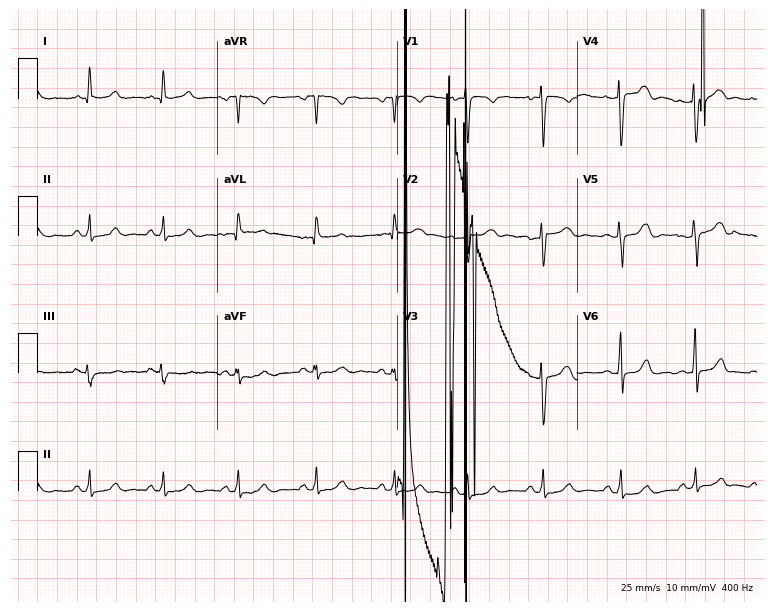
ECG (7.3-second recording at 400 Hz) — a 38-year-old woman. Screened for six findings — first-degree AV block, right bundle branch block (RBBB), left bundle branch block (LBBB), sinus bradycardia, atrial fibrillation (AF), sinus tachycardia — none is recorded. Findings outside these six are not listed.